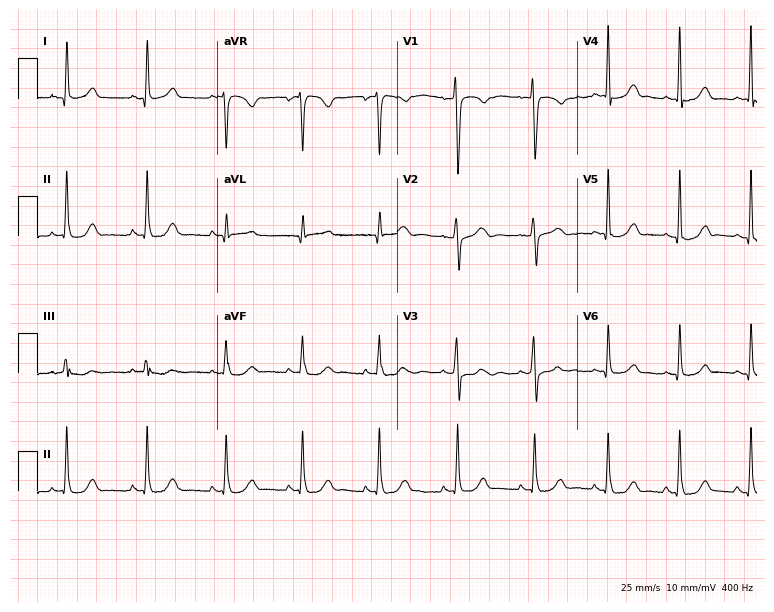
12-lead ECG (7.3-second recording at 400 Hz) from a female patient, 38 years old. Labelled as a normal ECG.